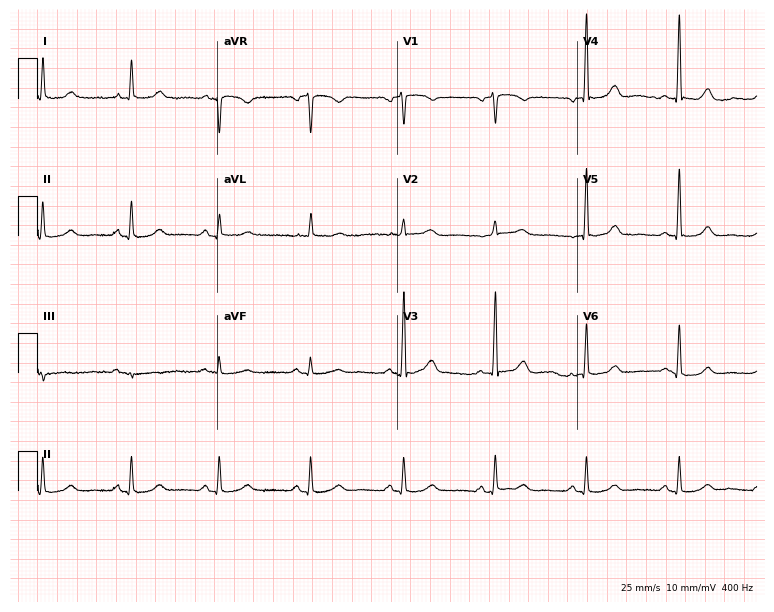
12-lead ECG from a 55-year-old female. Screened for six findings — first-degree AV block, right bundle branch block, left bundle branch block, sinus bradycardia, atrial fibrillation, sinus tachycardia — none is recorded. Only these six findings were labelled.